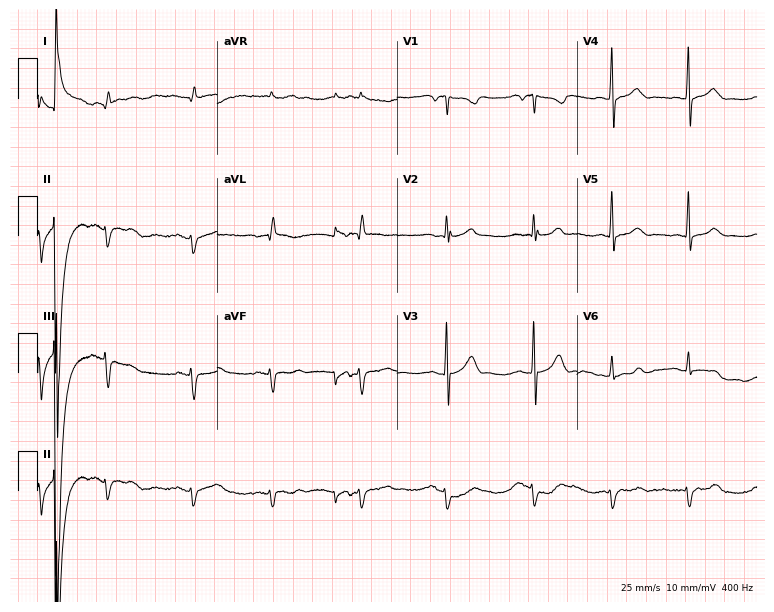
12-lead ECG from a female patient, 69 years old. Screened for six findings — first-degree AV block, right bundle branch block, left bundle branch block, sinus bradycardia, atrial fibrillation, sinus tachycardia — none is recorded.